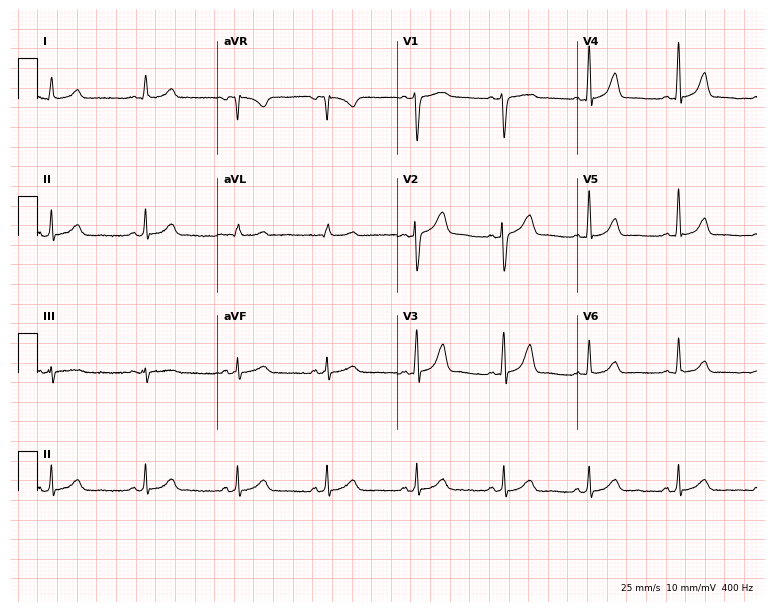
Standard 12-lead ECG recorded from a female patient, 56 years old. None of these six findings is recorded: first-degree AV block, right bundle branch block, left bundle branch block, sinus bradycardia, atrial fibrillation, sinus tachycardia. Findings outside these six are not listed.